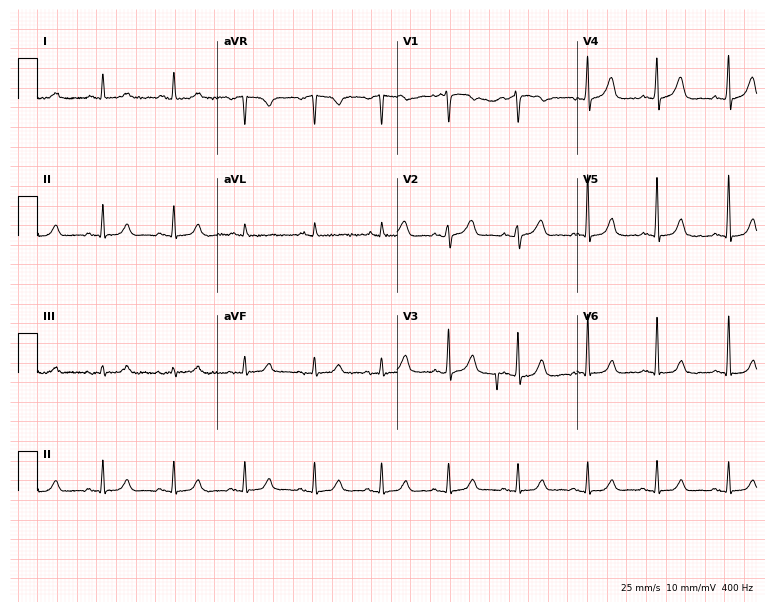
ECG — a 73-year-old woman. Screened for six findings — first-degree AV block, right bundle branch block, left bundle branch block, sinus bradycardia, atrial fibrillation, sinus tachycardia — none is recorded. Other findings, if any, are not listed.